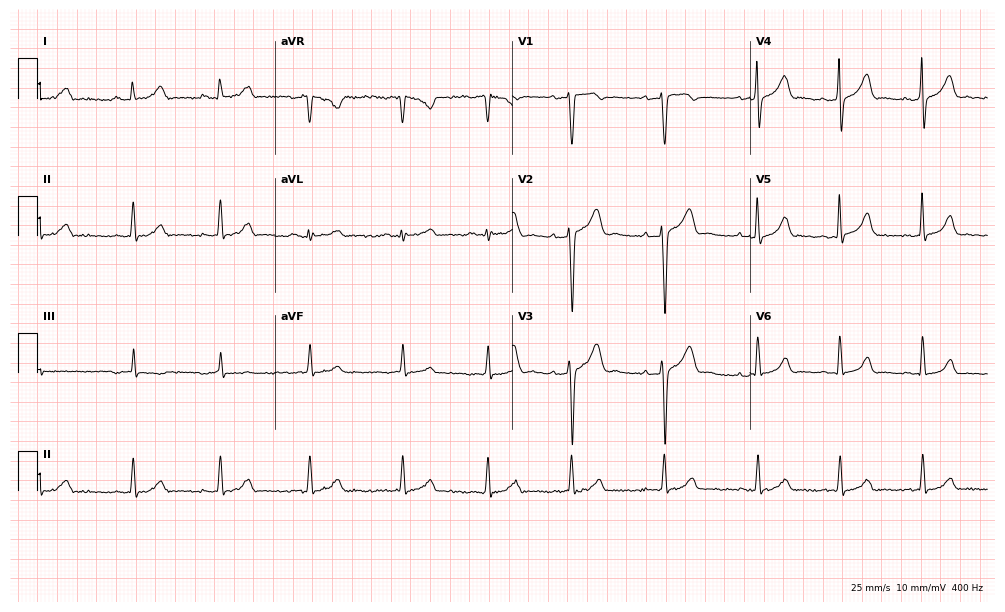
Electrocardiogram, a male patient, 19 years old. Overall reading on record: normal ECG.